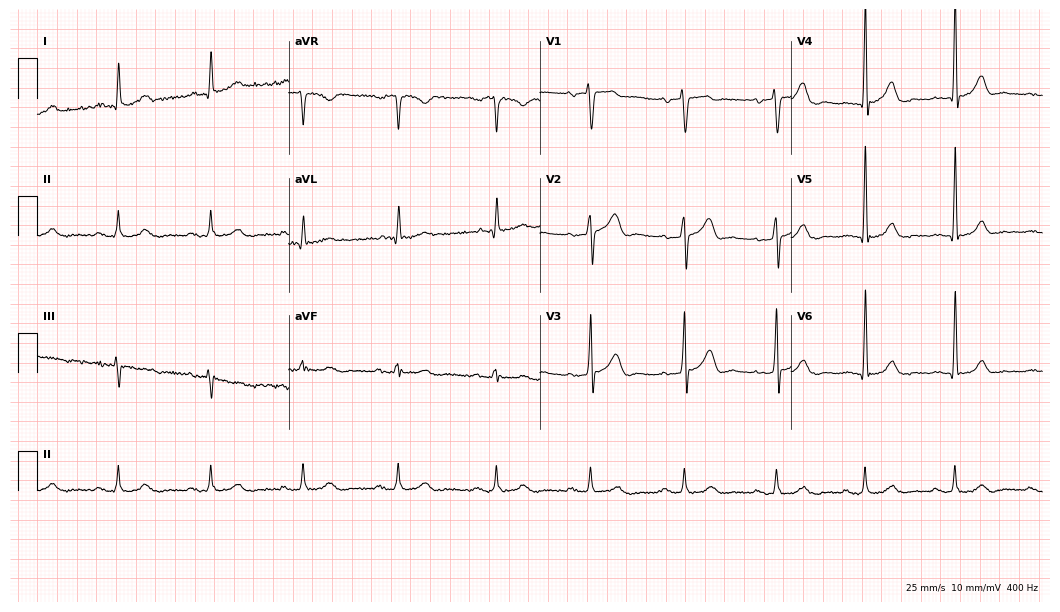
Standard 12-lead ECG recorded from a male, 58 years old (10.2-second recording at 400 Hz). Read as a normal ECG.